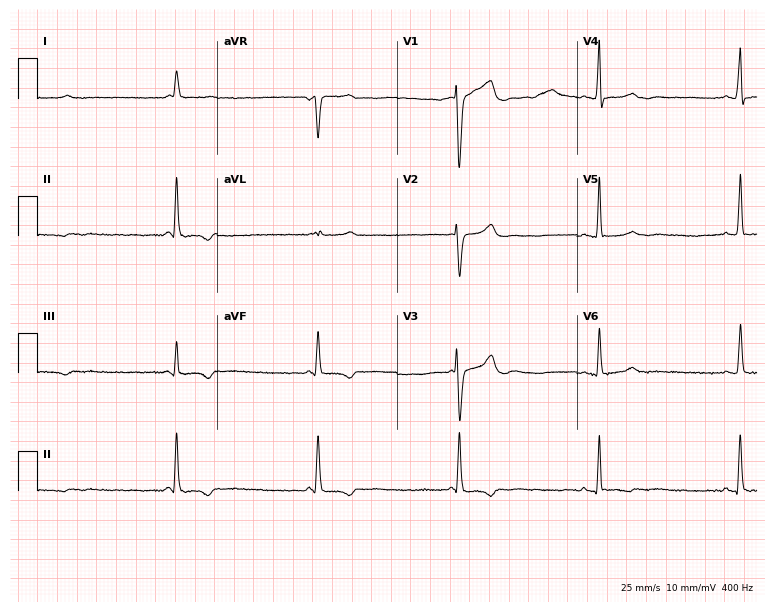
Standard 12-lead ECG recorded from a male, 62 years old (7.3-second recording at 400 Hz). None of these six findings is recorded: first-degree AV block, right bundle branch block (RBBB), left bundle branch block (LBBB), sinus bradycardia, atrial fibrillation (AF), sinus tachycardia.